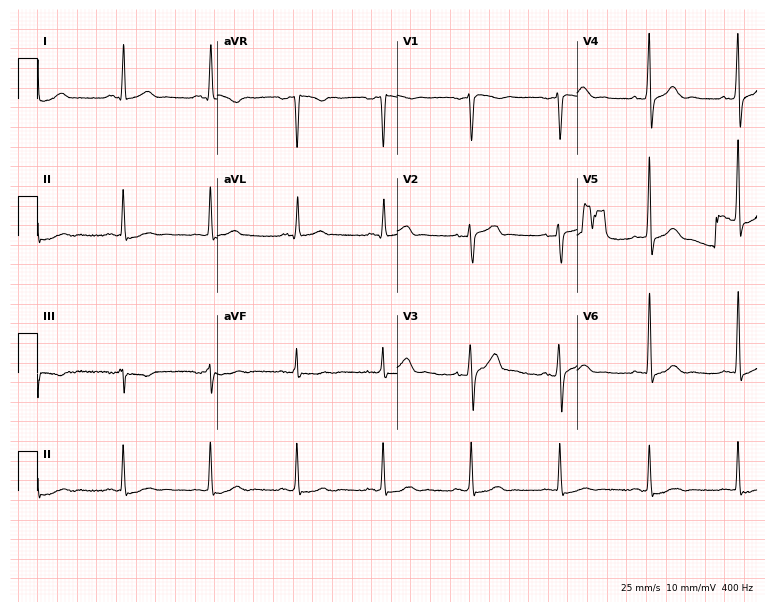
Standard 12-lead ECG recorded from a 49-year-old male (7.3-second recording at 400 Hz). Read as a normal ECG.